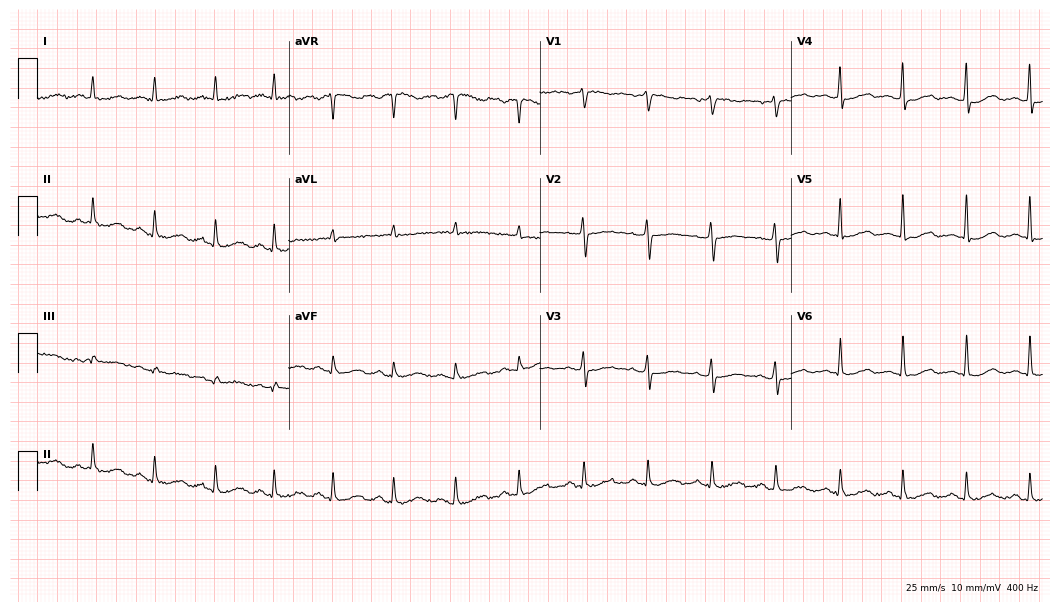
12-lead ECG from a female patient, 59 years old. Screened for six findings — first-degree AV block, right bundle branch block, left bundle branch block, sinus bradycardia, atrial fibrillation, sinus tachycardia — none is recorded.